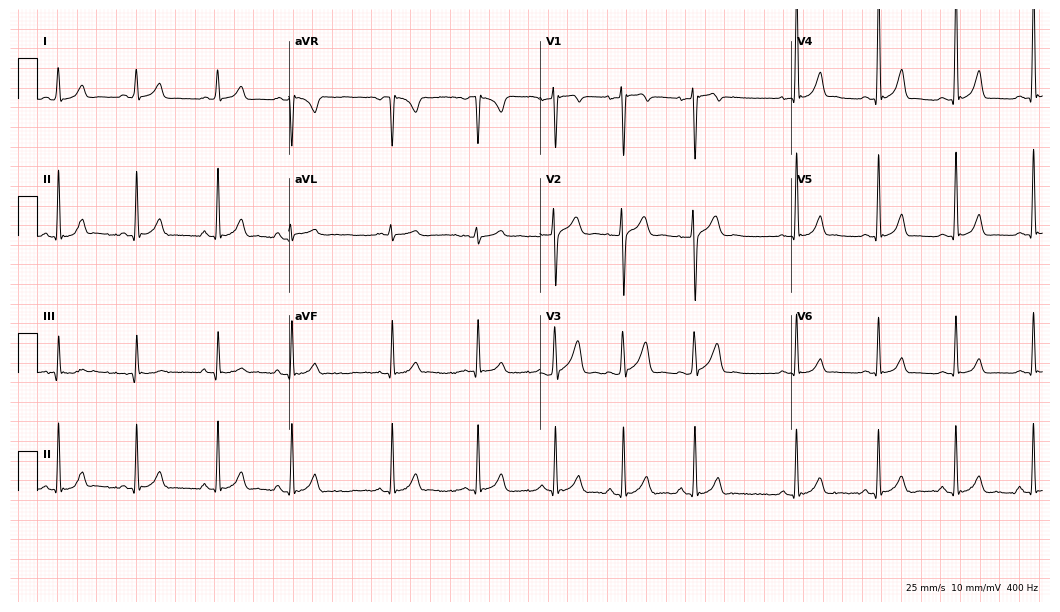
Electrocardiogram, an 18-year-old male. Of the six screened findings (first-degree AV block, right bundle branch block (RBBB), left bundle branch block (LBBB), sinus bradycardia, atrial fibrillation (AF), sinus tachycardia), none is recorded.